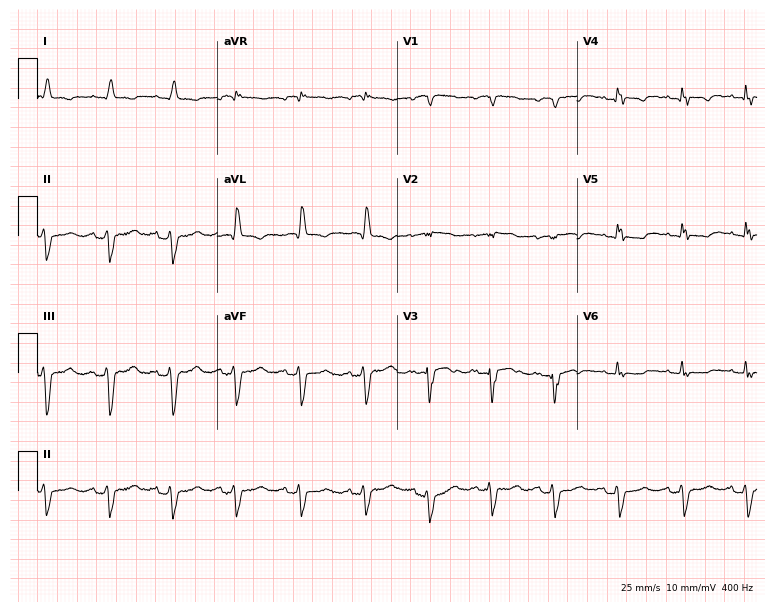
12-lead ECG from a 76-year-old male patient (7.3-second recording at 400 Hz). No first-degree AV block, right bundle branch block, left bundle branch block, sinus bradycardia, atrial fibrillation or sinus tachycardia recorded for this tracing.